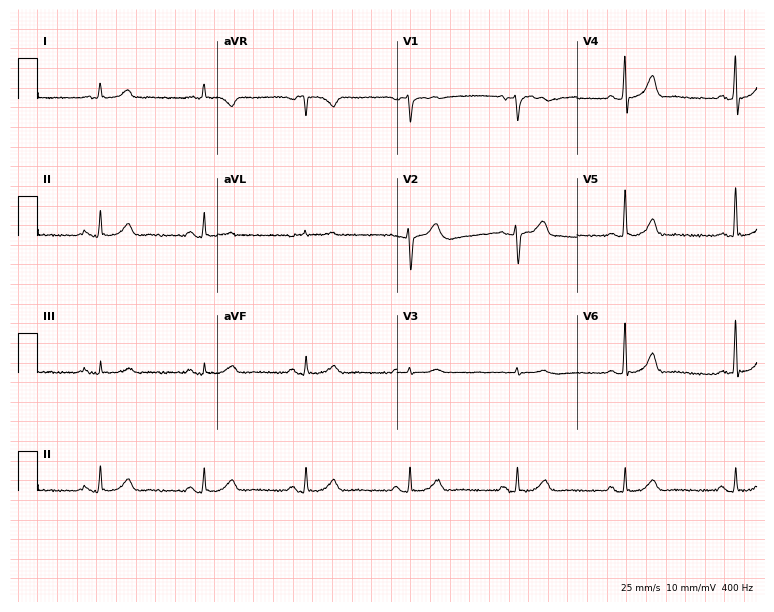
Electrocardiogram (7.3-second recording at 400 Hz), a 75-year-old man. Overall reading on record: normal ECG.